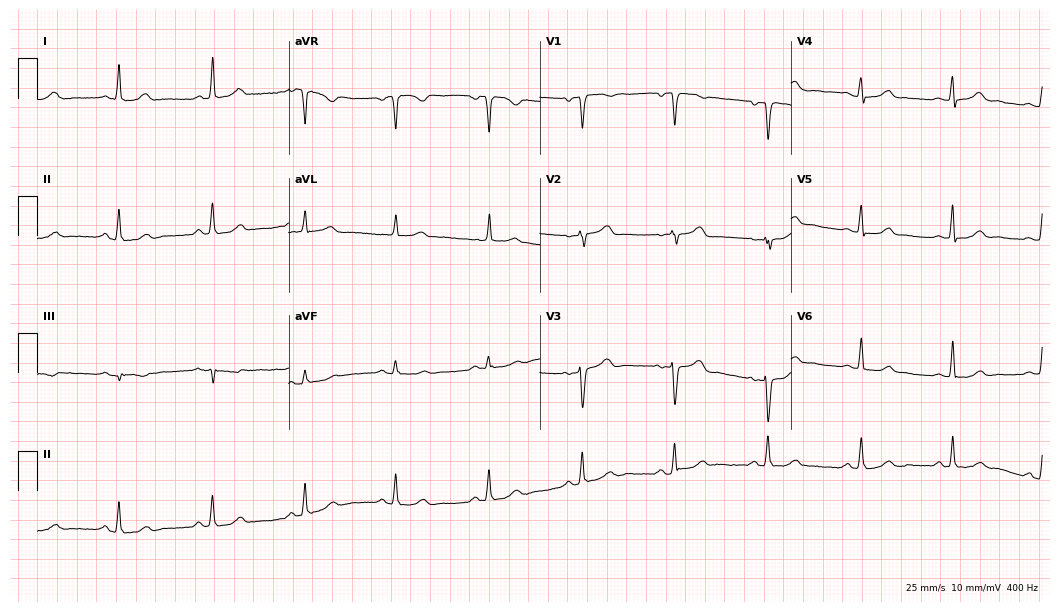
ECG (10.2-second recording at 400 Hz) — a female patient, 51 years old. Labelled as a normal ECG.